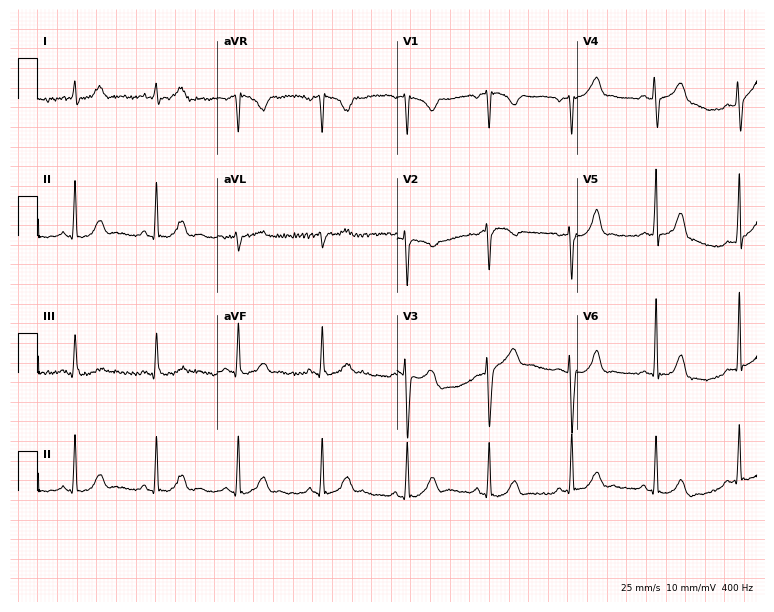
Resting 12-lead electrocardiogram. Patient: a male, 24 years old. Read as a normal ECG.